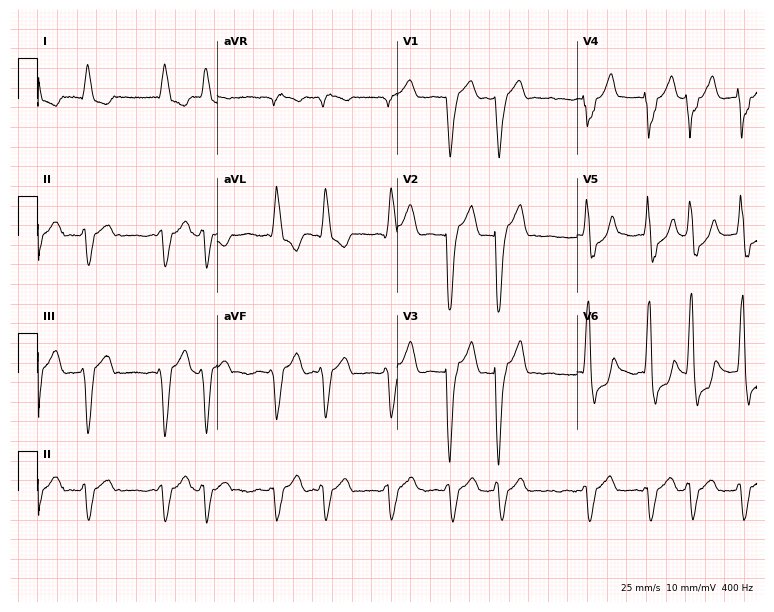
Standard 12-lead ECG recorded from a 71-year-old male (7.3-second recording at 400 Hz). The tracing shows left bundle branch block, atrial fibrillation.